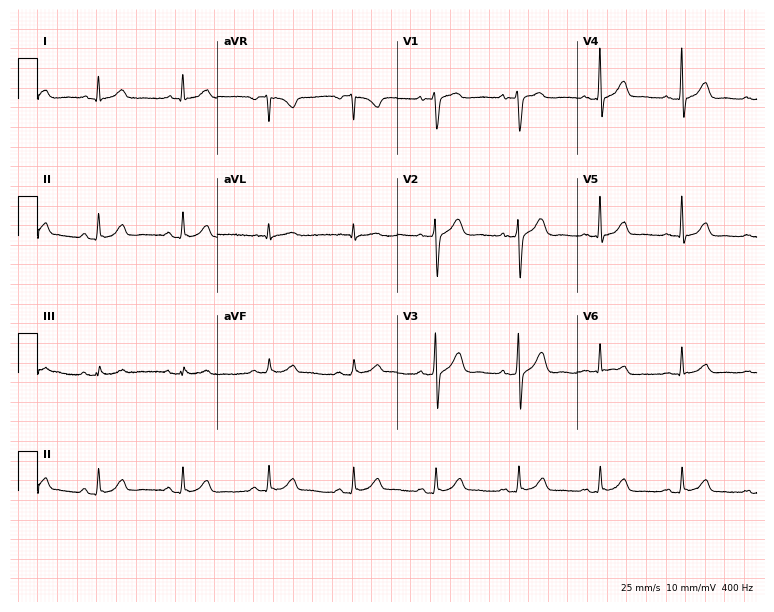
12-lead ECG from a 47-year-old male patient. Screened for six findings — first-degree AV block, right bundle branch block, left bundle branch block, sinus bradycardia, atrial fibrillation, sinus tachycardia — none is recorded.